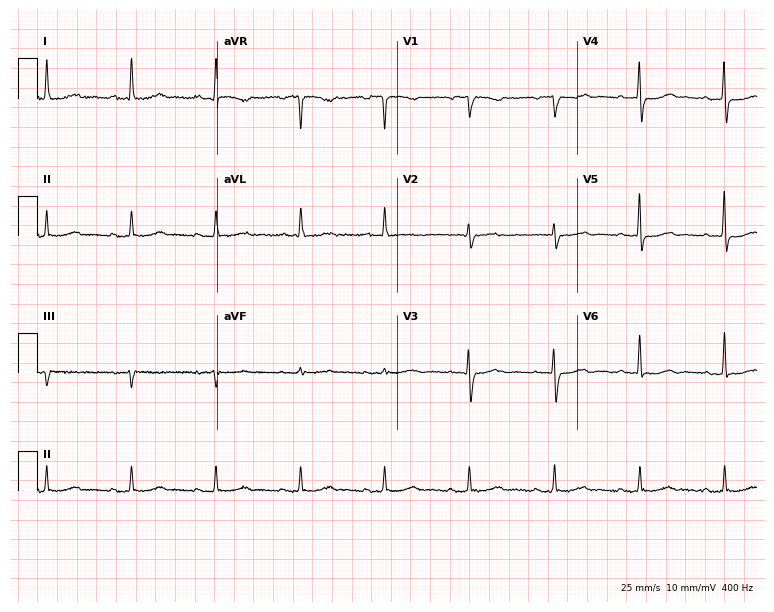
Electrocardiogram, a 70-year-old female. Of the six screened findings (first-degree AV block, right bundle branch block (RBBB), left bundle branch block (LBBB), sinus bradycardia, atrial fibrillation (AF), sinus tachycardia), none is recorded.